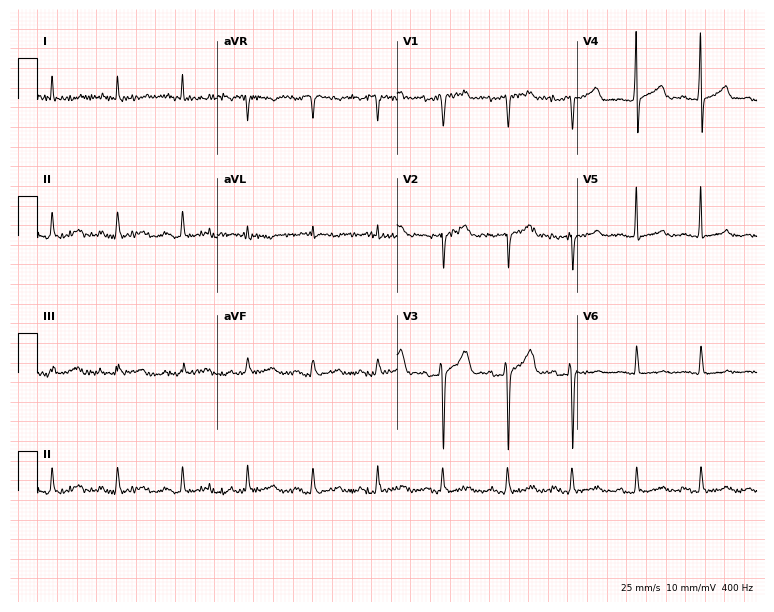
12-lead ECG (7.3-second recording at 400 Hz) from a female patient, 61 years old. Screened for six findings — first-degree AV block, right bundle branch block, left bundle branch block, sinus bradycardia, atrial fibrillation, sinus tachycardia — none is recorded. Other findings, if any, are not listed.